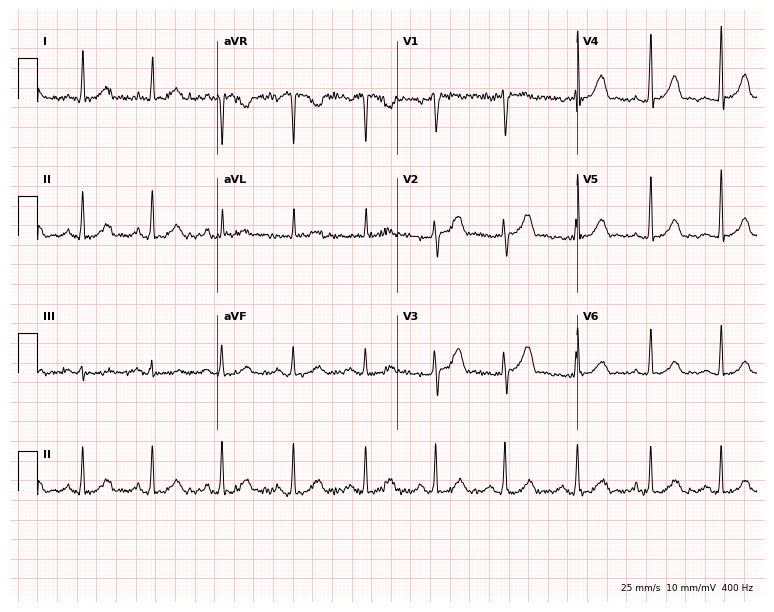
Standard 12-lead ECG recorded from a female, 44 years old (7.3-second recording at 400 Hz). None of these six findings is recorded: first-degree AV block, right bundle branch block, left bundle branch block, sinus bradycardia, atrial fibrillation, sinus tachycardia. Only these six findings were labelled.